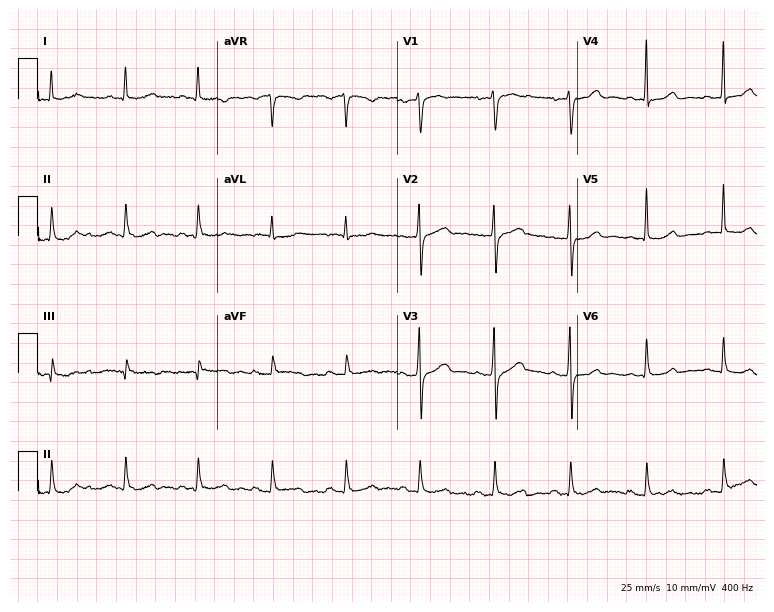
Resting 12-lead electrocardiogram (7.3-second recording at 400 Hz). Patient: a female, 55 years old. None of these six findings is recorded: first-degree AV block, right bundle branch block, left bundle branch block, sinus bradycardia, atrial fibrillation, sinus tachycardia.